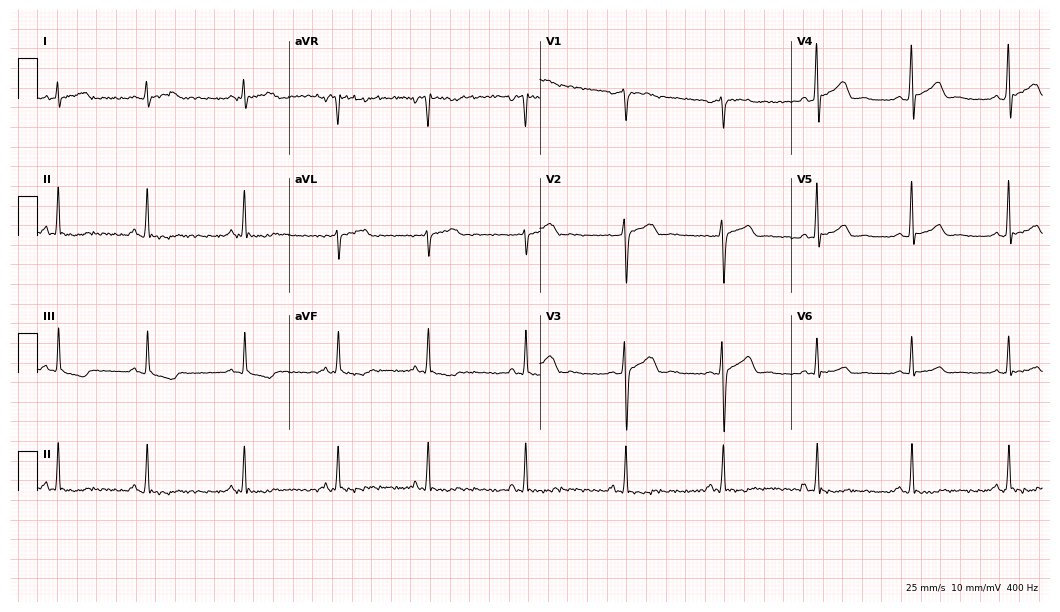
ECG (10.2-second recording at 400 Hz) — a man, 28 years old. Labelled as a normal ECG.